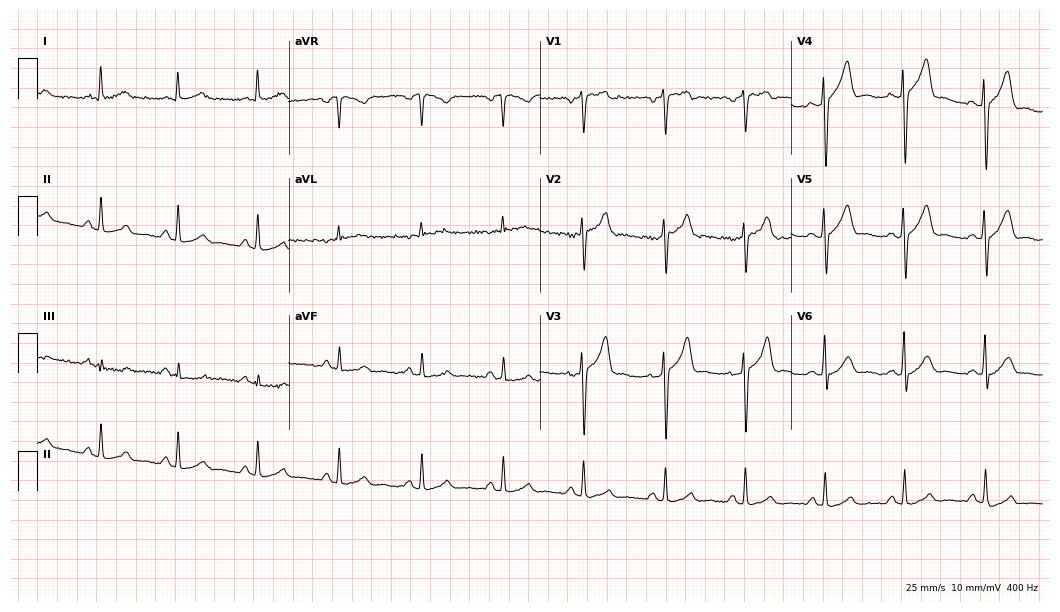
12-lead ECG from a 33-year-old man (10.2-second recording at 400 Hz). Recorded interpretation: within normal limits.